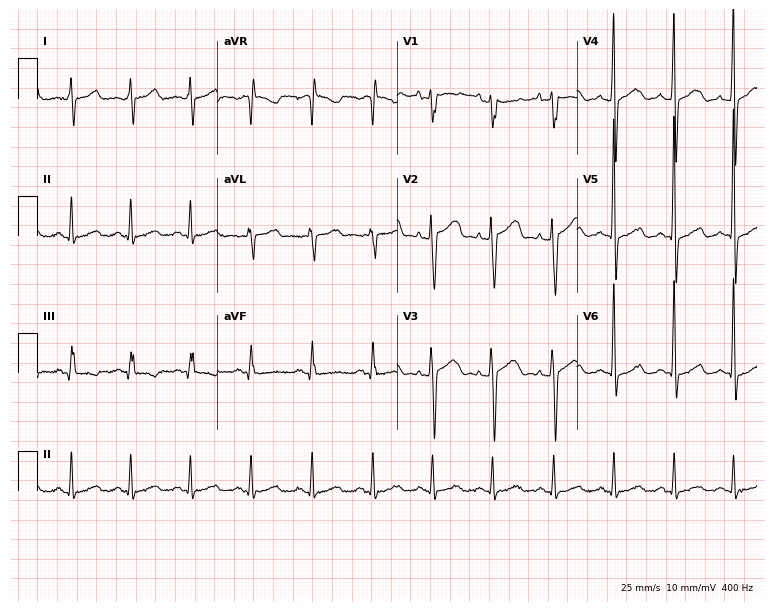
Standard 12-lead ECG recorded from a woman, 28 years old (7.3-second recording at 400 Hz). None of these six findings is recorded: first-degree AV block, right bundle branch block (RBBB), left bundle branch block (LBBB), sinus bradycardia, atrial fibrillation (AF), sinus tachycardia.